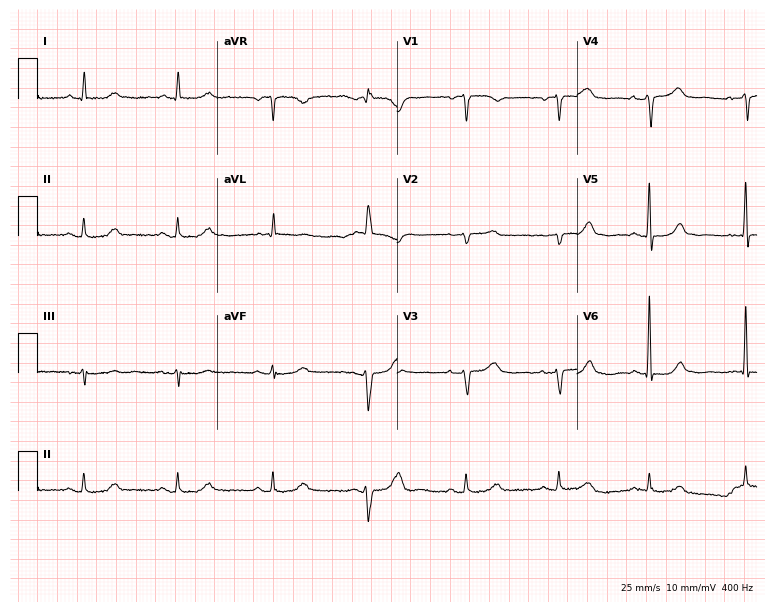
12-lead ECG (7.3-second recording at 400 Hz) from a woman, 73 years old. Screened for six findings — first-degree AV block, right bundle branch block, left bundle branch block, sinus bradycardia, atrial fibrillation, sinus tachycardia — none is recorded. Findings outside these six are not listed.